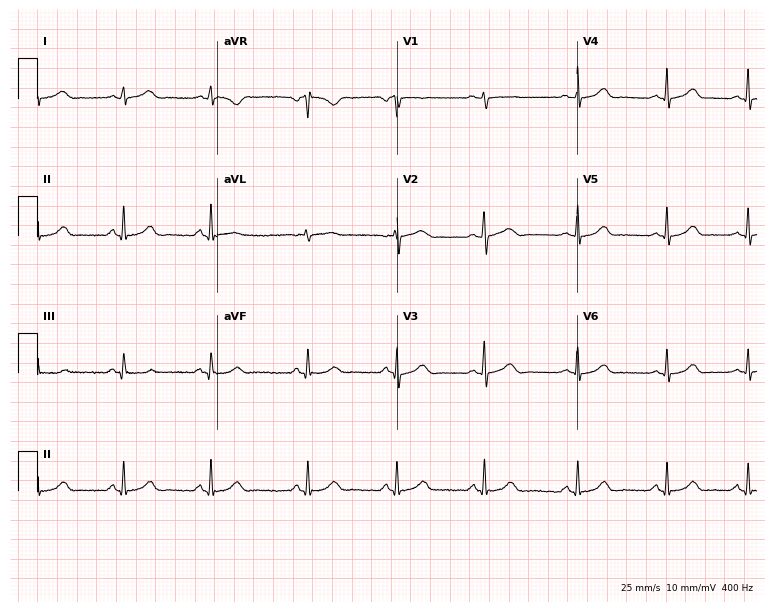
Resting 12-lead electrocardiogram (7.3-second recording at 400 Hz). Patient: a female, 17 years old. Read as a normal ECG.